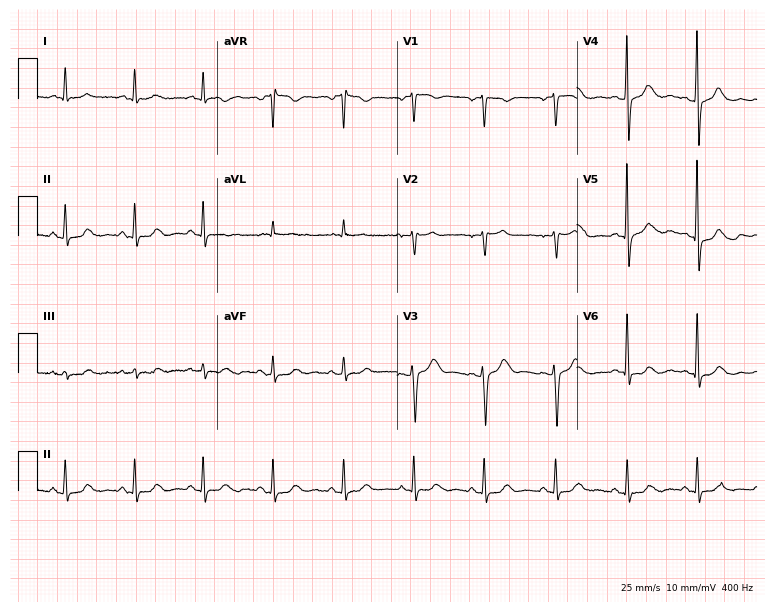
12-lead ECG from a female, 55 years old (7.3-second recording at 400 Hz). Recorded interpretation: within normal limits.